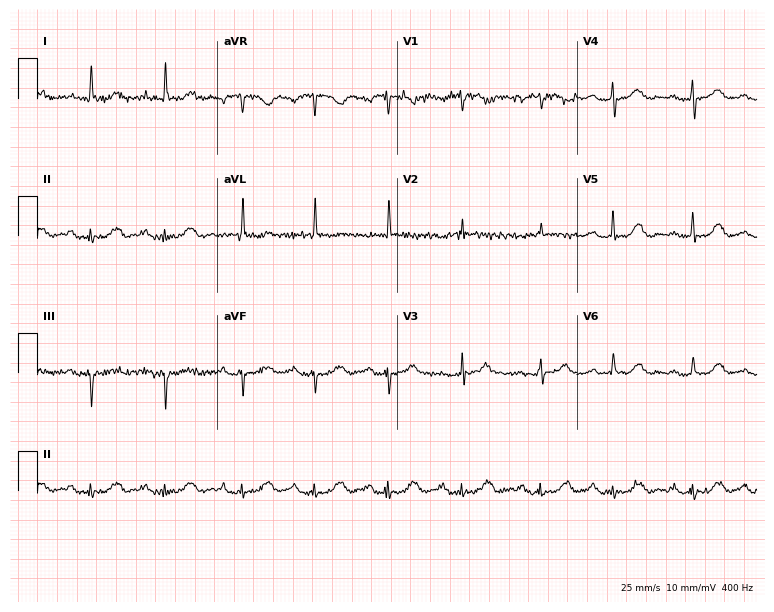
ECG (7.3-second recording at 400 Hz) — an 83-year-old female. Labelled as a normal ECG.